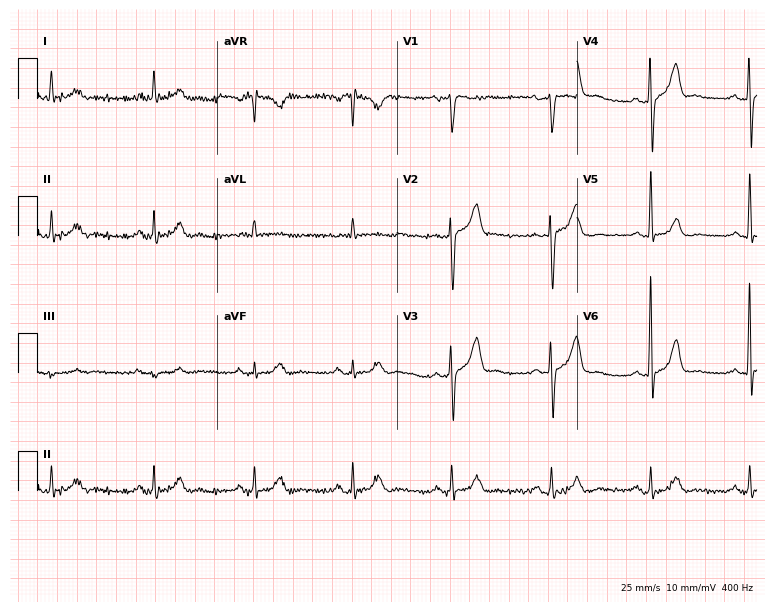
ECG — a 74-year-old male patient. Screened for six findings — first-degree AV block, right bundle branch block, left bundle branch block, sinus bradycardia, atrial fibrillation, sinus tachycardia — none is recorded.